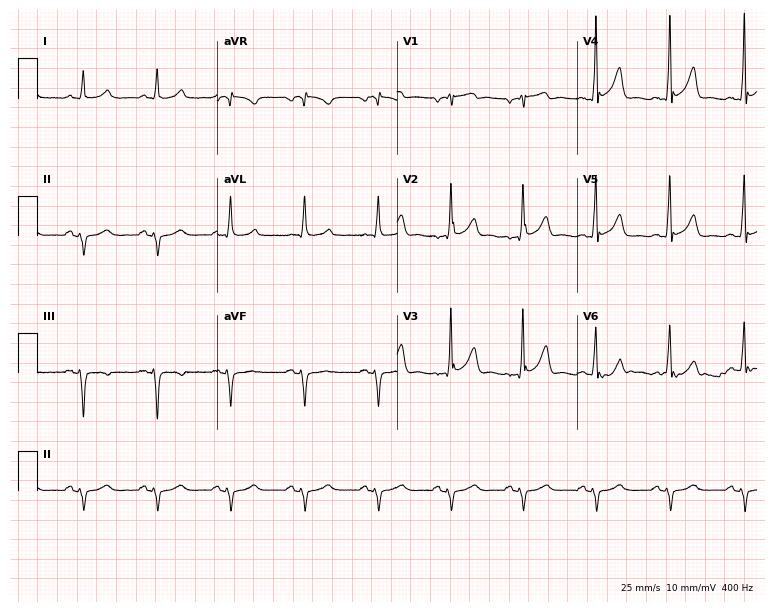
Electrocardiogram (7.3-second recording at 400 Hz), a 57-year-old male patient. Of the six screened findings (first-degree AV block, right bundle branch block (RBBB), left bundle branch block (LBBB), sinus bradycardia, atrial fibrillation (AF), sinus tachycardia), none is recorded.